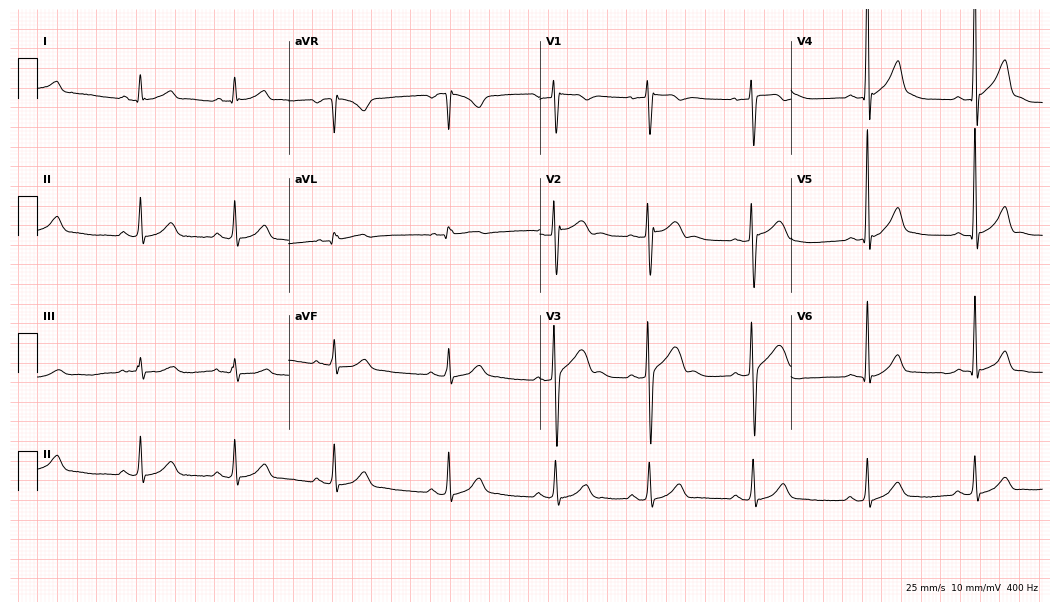
Resting 12-lead electrocardiogram (10.2-second recording at 400 Hz). Patient: an 18-year-old man. Read as a normal ECG.